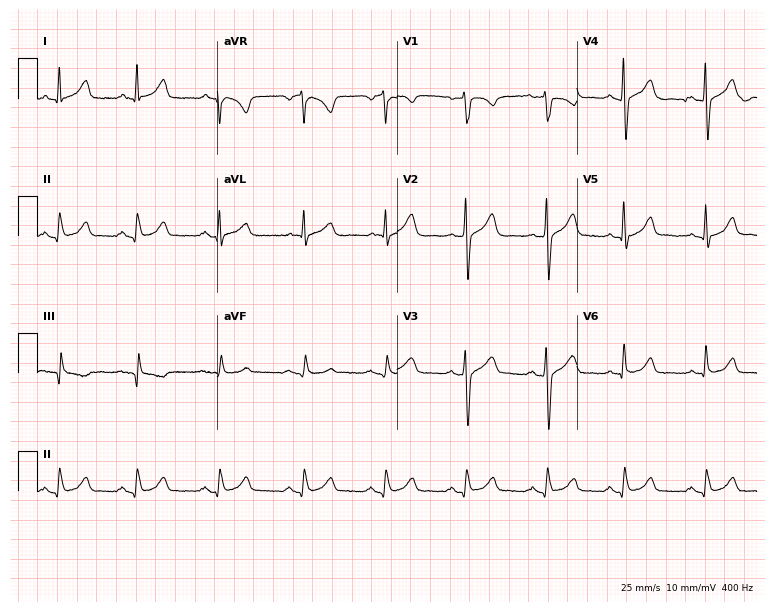
12-lead ECG (7.3-second recording at 400 Hz) from a 48-year-old male patient. Screened for six findings — first-degree AV block, right bundle branch block, left bundle branch block, sinus bradycardia, atrial fibrillation, sinus tachycardia — none is recorded. Other findings, if any, are not listed.